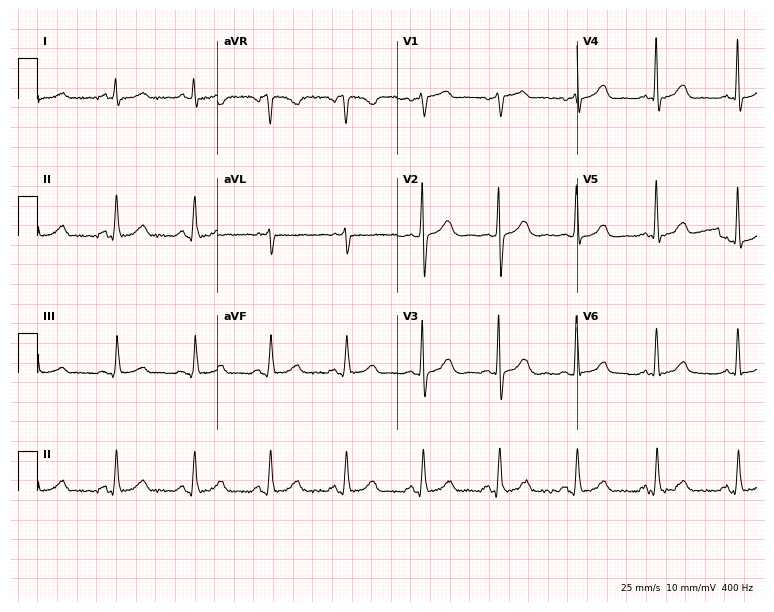
ECG — a male, 69 years old. Labelled as a normal ECG.